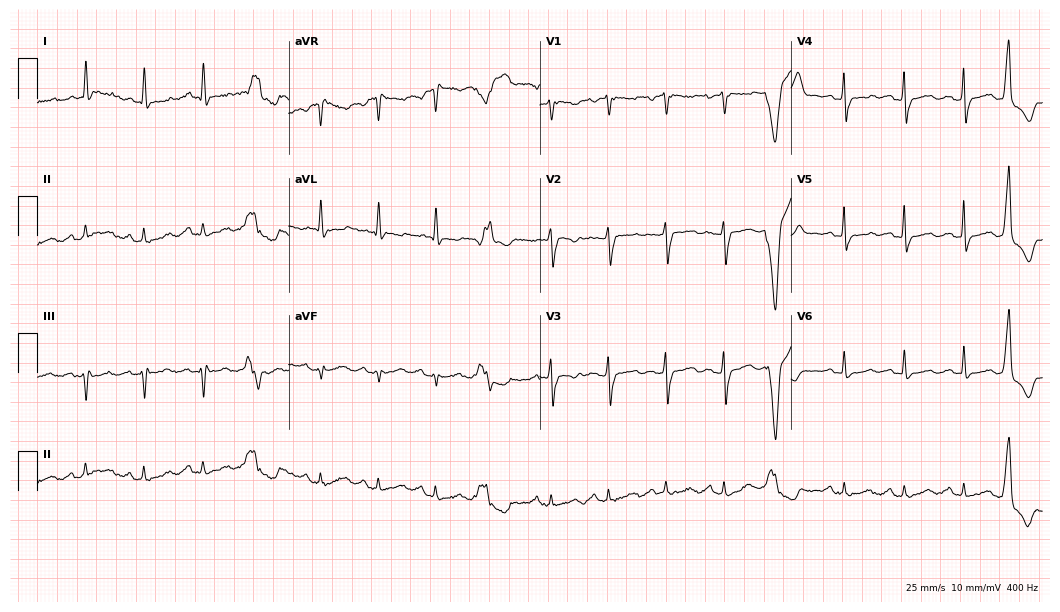
12-lead ECG (10.2-second recording at 400 Hz) from a woman, 63 years old. Screened for six findings — first-degree AV block, right bundle branch block, left bundle branch block, sinus bradycardia, atrial fibrillation, sinus tachycardia — none is recorded.